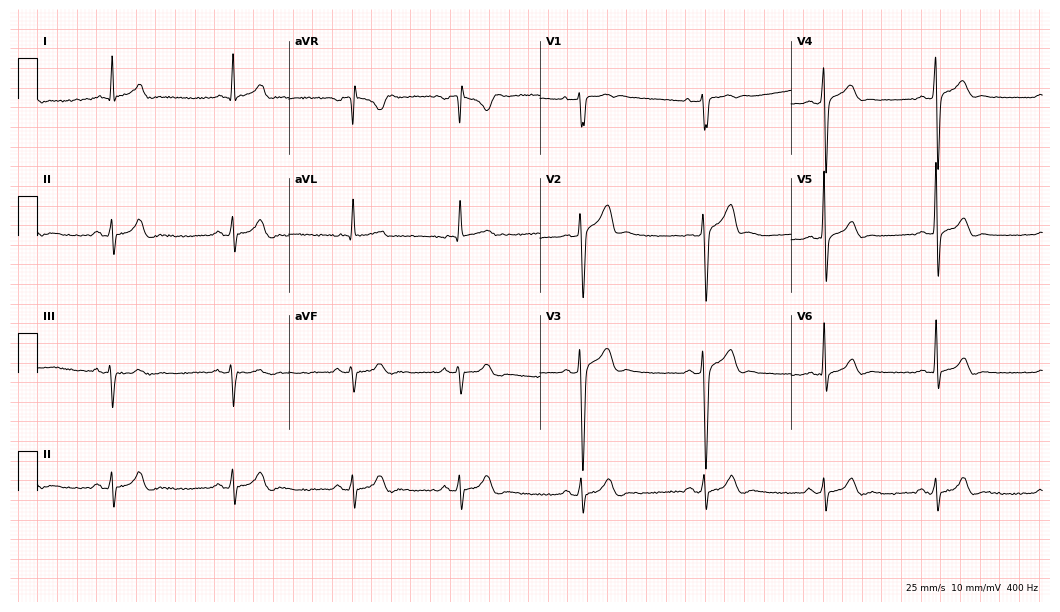
12-lead ECG from a male patient, 23 years old (10.2-second recording at 400 Hz). No first-degree AV block, right bundle branch block, left bundle branch block, sinus bradycardia, atrial fibrillation or sinus tachycardia recorded for this tracing. Findings outside these six are not listed.